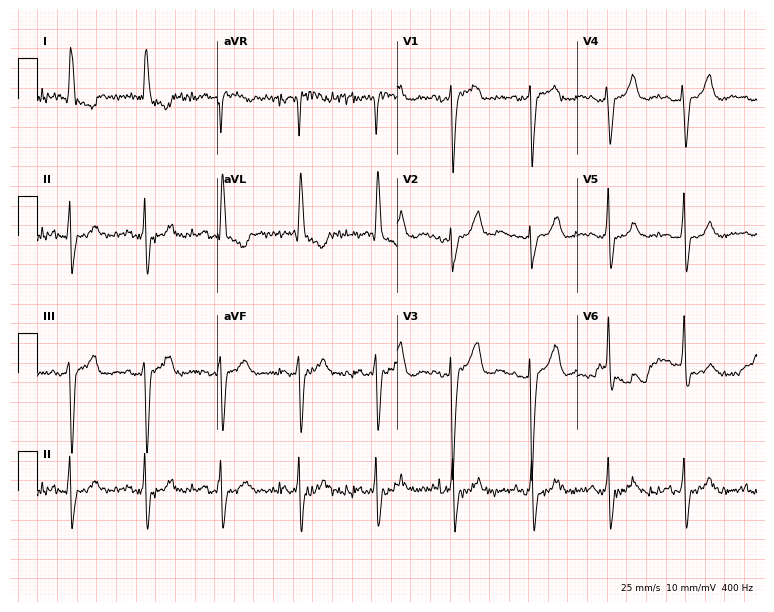
12-lead ECG (7.3-second recording at 400 Hz) from an 84-year-old female. Screened for six findings — first-degree AV block, right bundle branch block, left bundle branch block, sinus bradycardia, atrial fibrillation, sinus tachycardia — none is recorded.